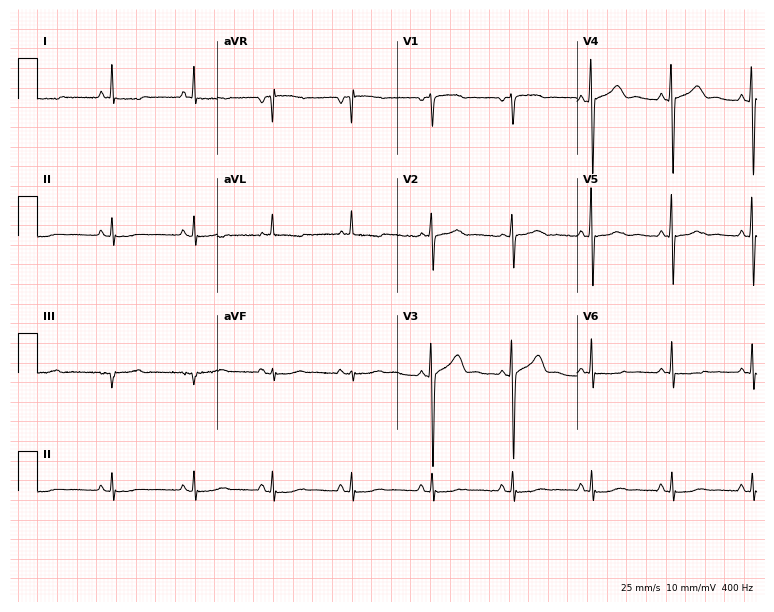
Standard 12-lead ECG recorded from a 55-year-old female patient (7.3-second recording at 400 Hz). None of these six findings is recorded: first-degree AV block, right bundle branch block, left bundle branch block, sinus bradycardia, atrial fibrillation, sinus tachycardia. Only these six findings were labelled.